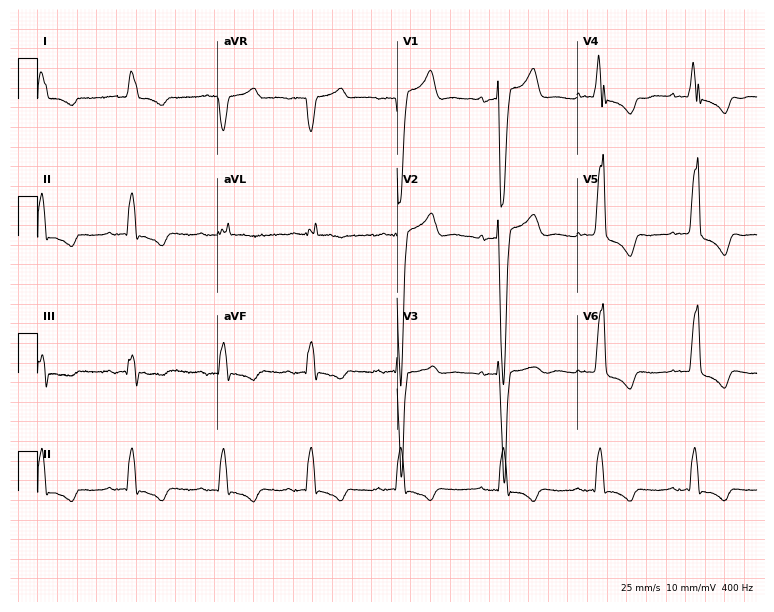
12-lead ECG from a female, 78 years old (7.3-second recording at 400 Hz). Shows left bundle branch block.